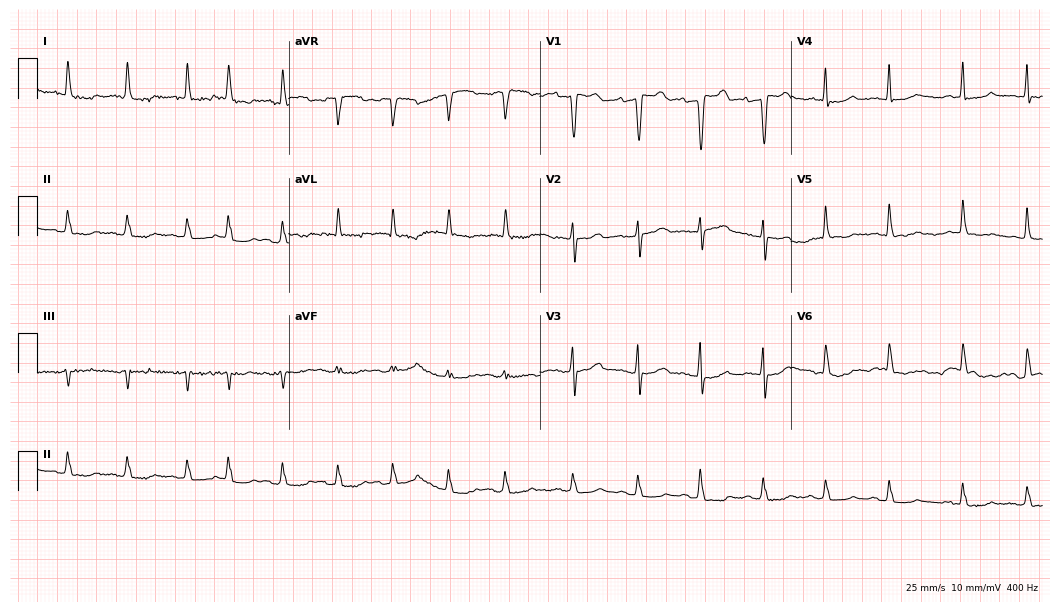
ECG (10.2-second recording at 400 Hz) — an 82-year-old male patient. Screened for six findings — first-degree AV block, right bundle branch block (RBBB), left bundle branch block (LBBB), sinus bradycardia, atrial fibrillation (AF), sinus tachycardia — none is recorded.